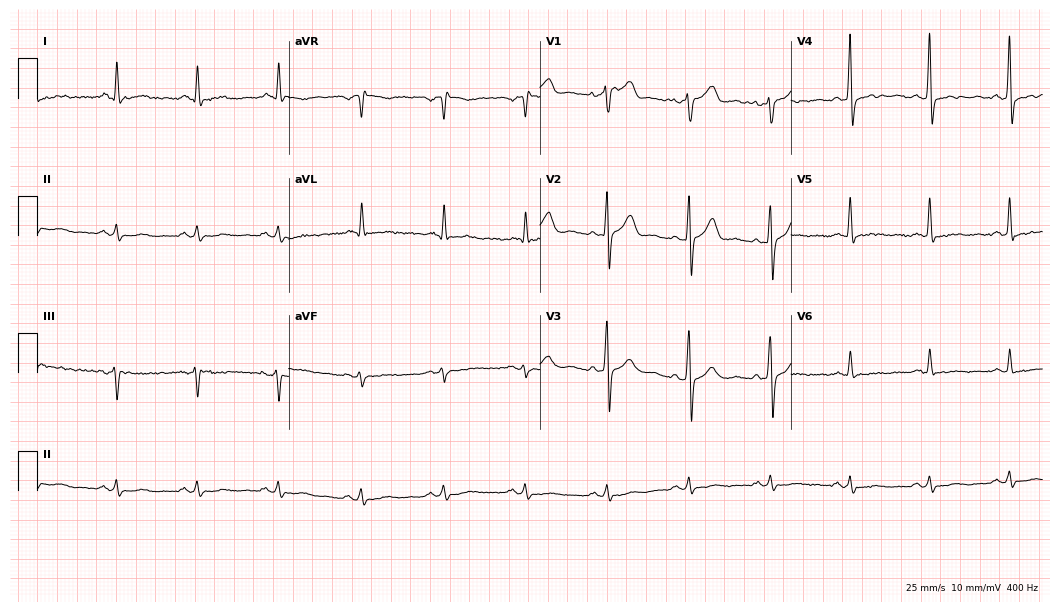
ECG (10.2-second recording at 400 Hz) — a 53-year-old male. Screened for six findings — first-degree AV block, right bundle branch block, left bundle branch block, sinus bradycardia, atrial fibrillation, sinus tachycardia — none is recorded. Other findings, if any, are not listed.